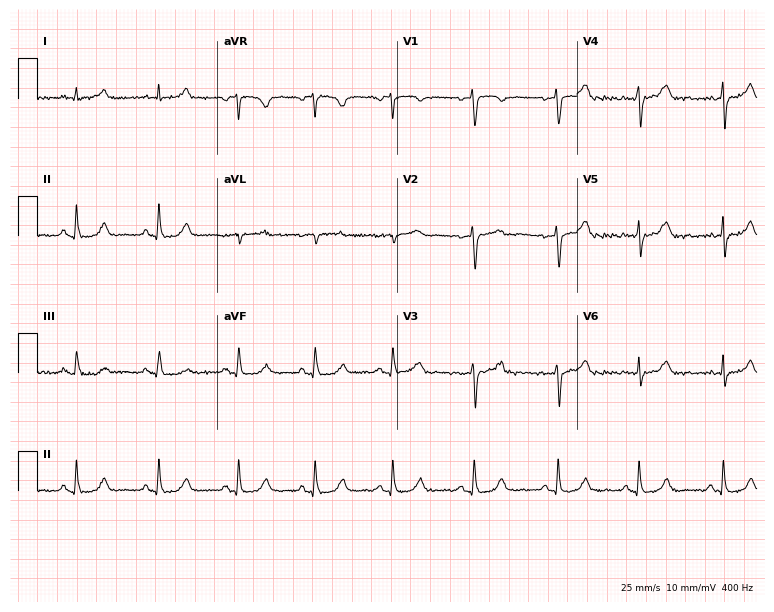
12-lead ECG from a 38-year-old female patient (7.3-second recording at 400 Hz). No first-degree AV block, right bundle branch block, left bundle branch block, sinus bradycardia, atrial fibrillation or sinus tachycardia recorded for this tracing. Only these six findings were labelled.